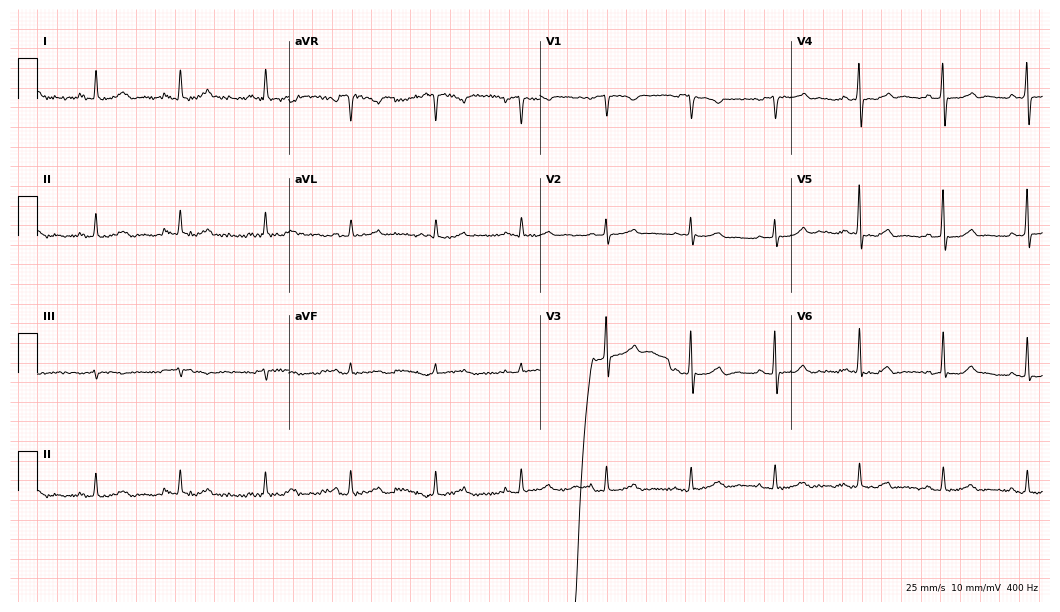
Resting 12-lead electrocardiogram. Patient: a male, 80 years old. None of these six findings is recorded: first-degree AV block, right bundle branch block, left bundle branch block, sinus bradycardia, atrial fibrillation, sinus tachycardia. Other findings, if any, are not listed.